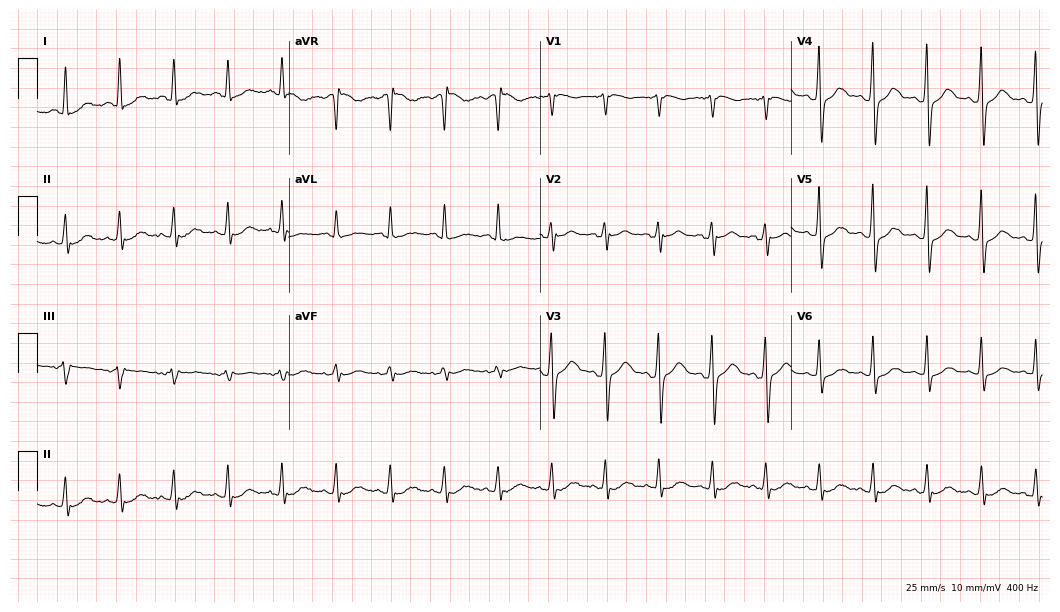
ECG (10.2-second recording at 400 Hz) — a 40-year-old male. Findings include sinus tachycardia (a sinus rate of 100 beats per minute or more).